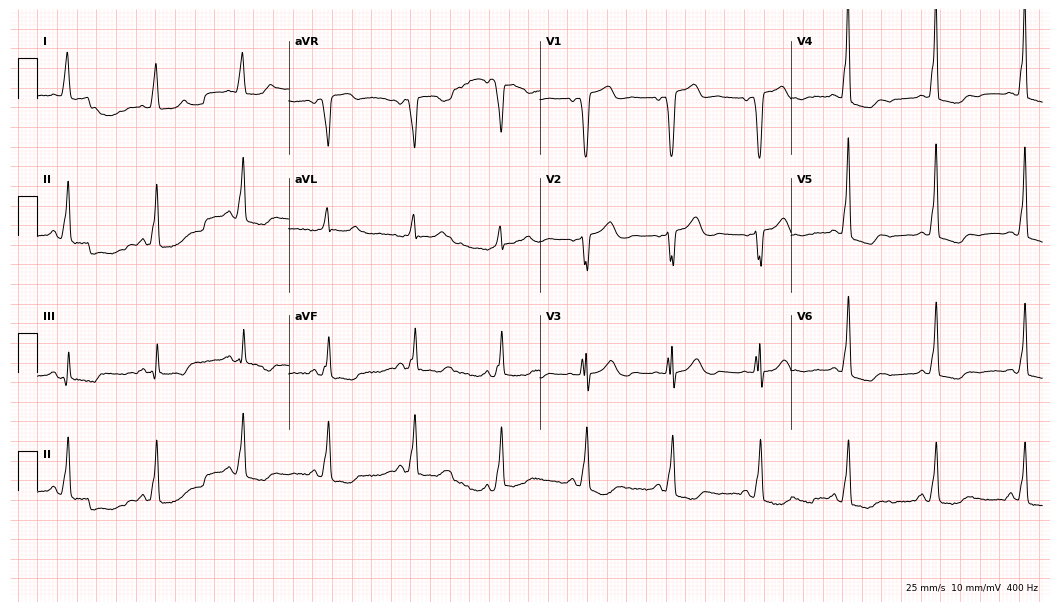
12-lead ECG from a 76-year-old woman (10.2-second recording at 400 Hz). No first-degree AV block, right bundle branch block, left bundle branch block, sinus bradycardia, atrial fibrillation or sinus tachycardia recorded for this tracing. Findings outside these six are not listed.